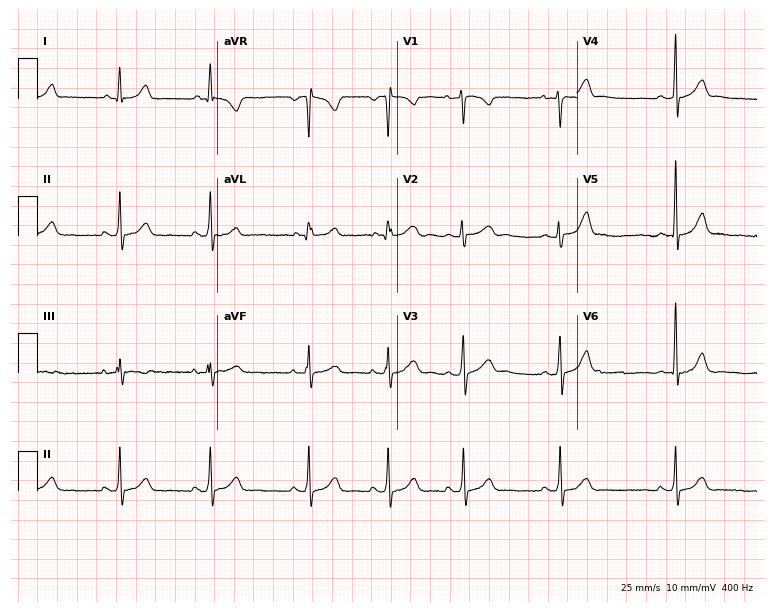
Electrocardiogram (7.3-second recording at 400 Hz), a woman, 22 years old. Overall reading on record: normal ECG.